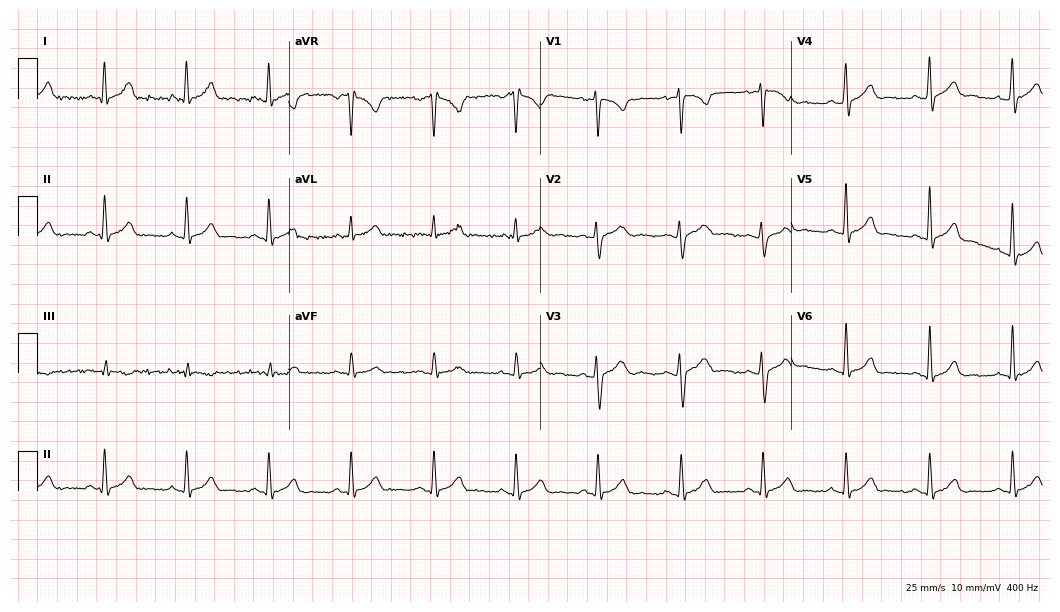
ECG — a female, 22 years old. Screened for six findings — first-degree AV block, right bundle branch block (RBBB), left bundle branch block (LBBB), sinus bradycardia, atrial fibrillation (AF), sinus tachycardia — none is recorded.